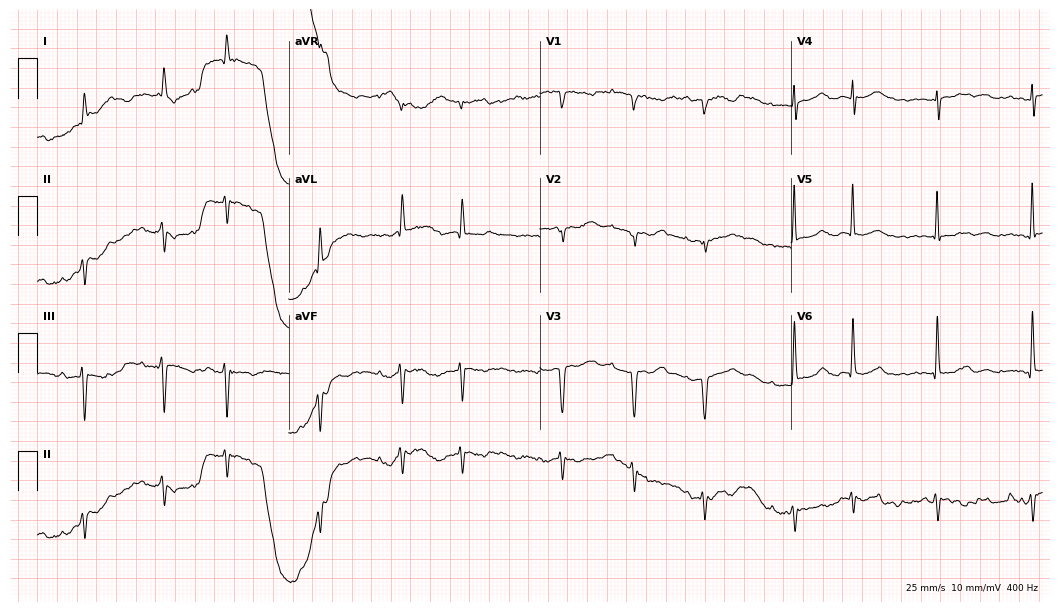
12-lead ECG (10.2-second recording at 400 Hz) from an 85-year-old woman. Findings include first-degree AV block, atrial fibrillation (AF).